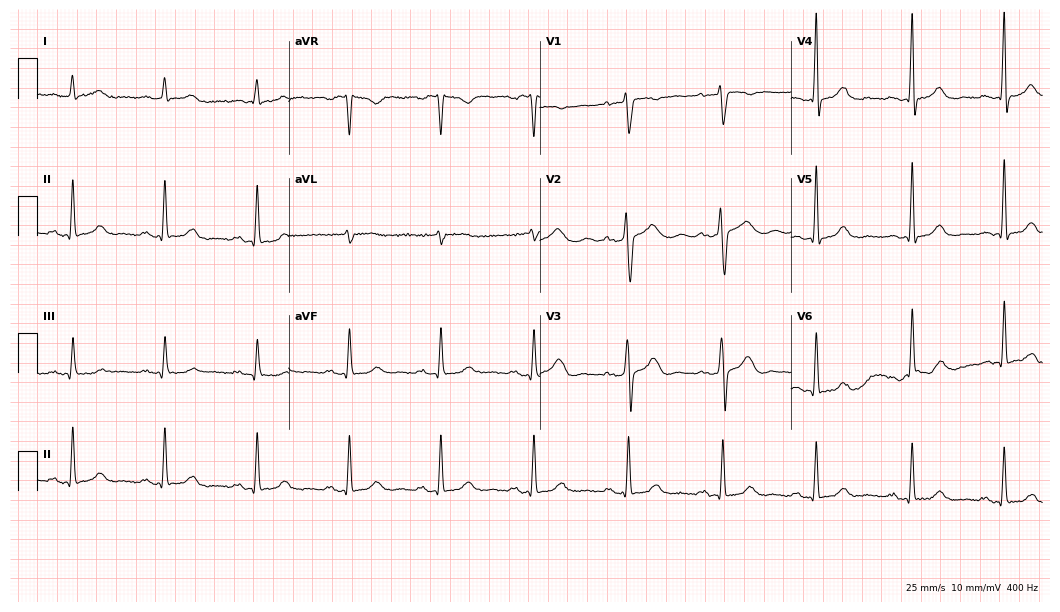
Standard 12-lead ECG recorded from a woman, 39 years old (10.2-second recording at 400 Hz). None of these six findings is recorded: first-degree AV block, right bundle branch block, left bundle branch block, sinus bradycardia, atrial fibrillation, sinus tachycardia. Only these six findings were labelled.